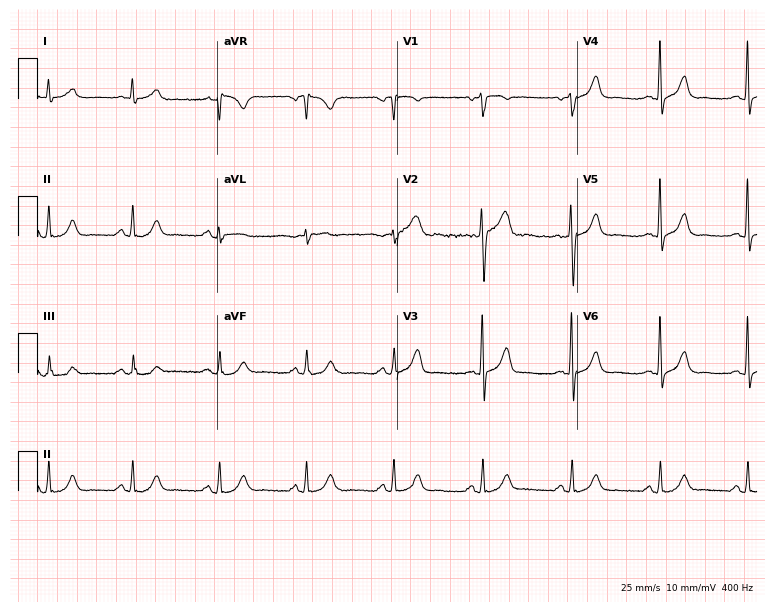
12-lead ECG from a 58-year-old male (7.3-second recording at 400 Hz). Recorded interpretation: within normal limits.